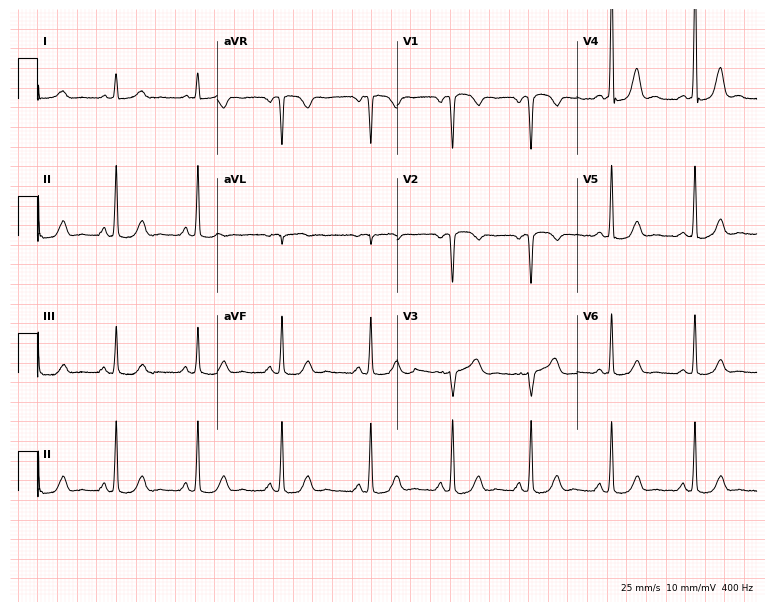
ECG (7.3-second recording at 400 Hz) — a female, 47 years old. Labelled as a normal ECG.